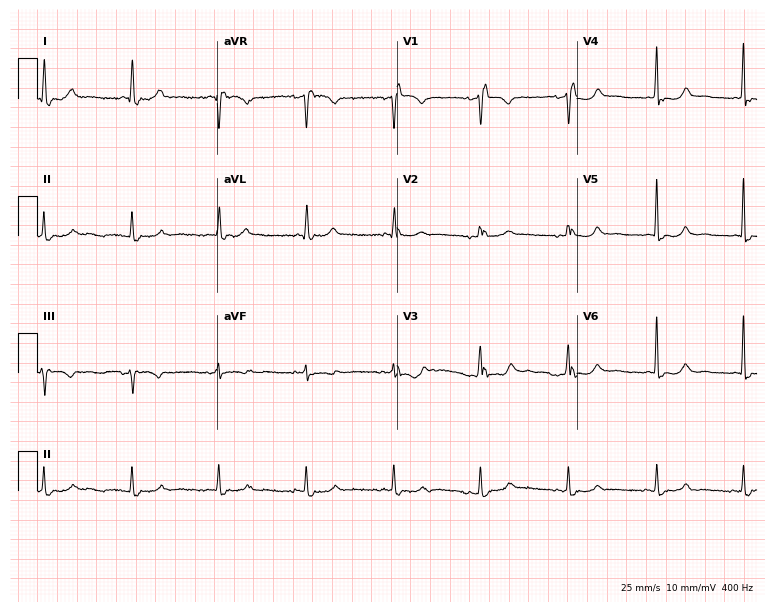
12-lead ECG (7.3-second recording at 400 Hz) from a 56-year-old female. Screened for six findings — first-degree AV block, right bundle branch block, left bundle branch block, sinus bradycardia, atrial fibrillation, sinus tachycardia — none is recorded. Other findings, if any, are not listed.